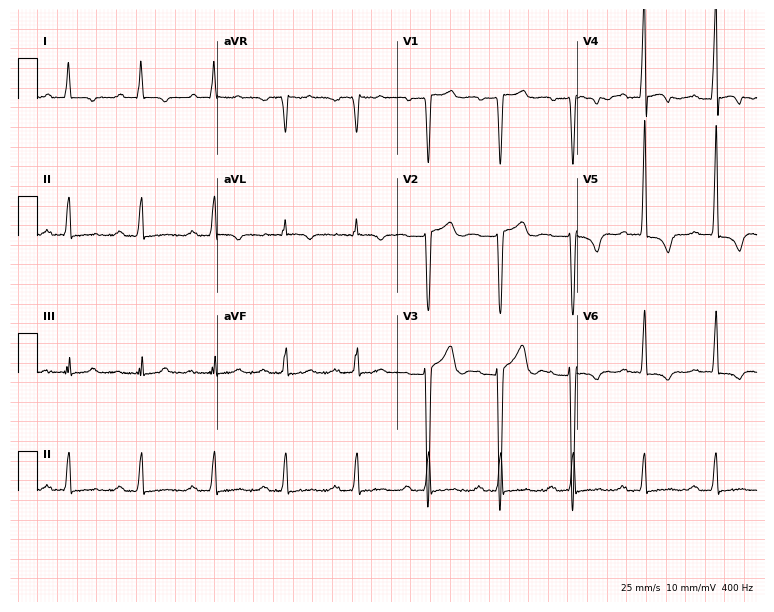
12-lead ECG (7.3-second recording at 400 Hz) from a man, 37 years old. Screened for six findings — first-degree AV block, right bundle branch block, left bundle branch block, sinus bradycardia, atrial fibrillation, sinus tachycardia — none is recorded.